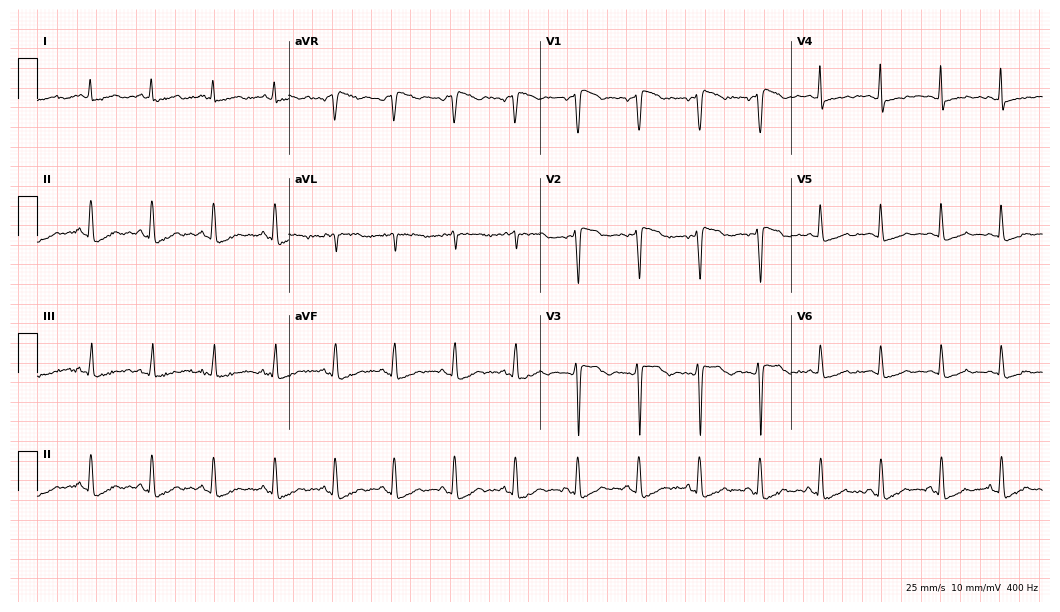
Resting 12-lead electrocardiogram. Patient: a 57-year-old female. Read as a normal ECG.